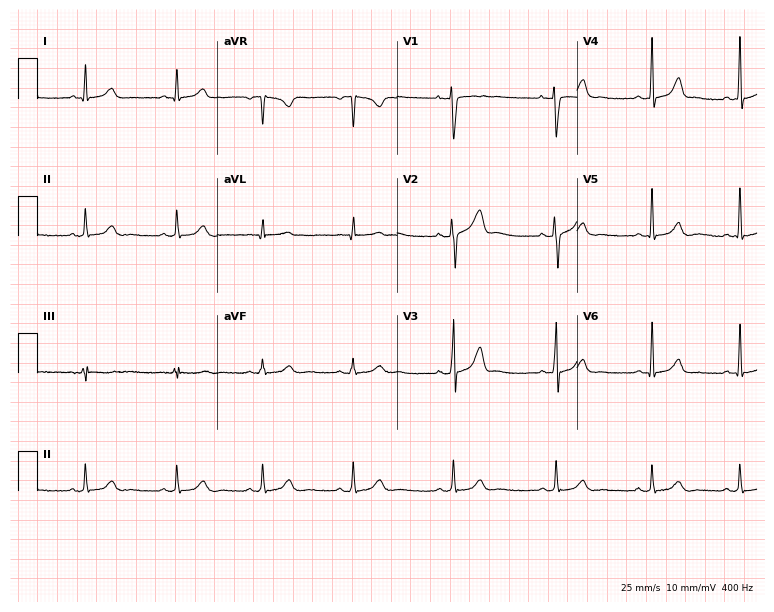
Resting 12-lead electrocardiogram. Patient: a female, 32 years old. None of these six findings is recorded: first-degree AV block, right bundle branch block, left bundle branch block, sinus bradycardia, atrial fibrillation, sinus tachycardia. Findings outside these six are not listed.